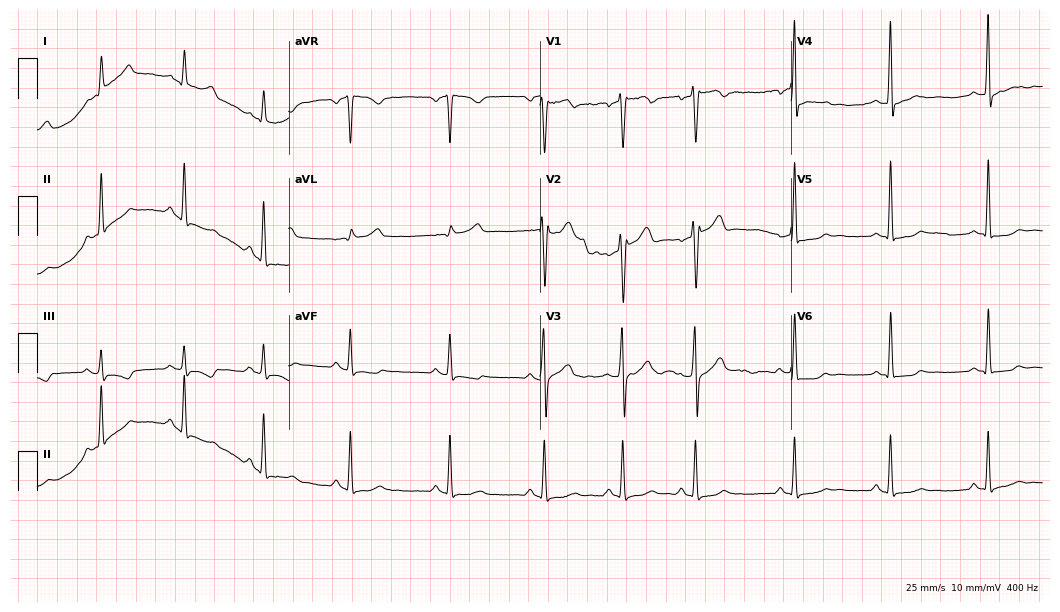
Resting 12-lead electrocardiogram (10.2-second recording at 400 Hz). Patient: a male, 26 years old. Read as a normal ECG.